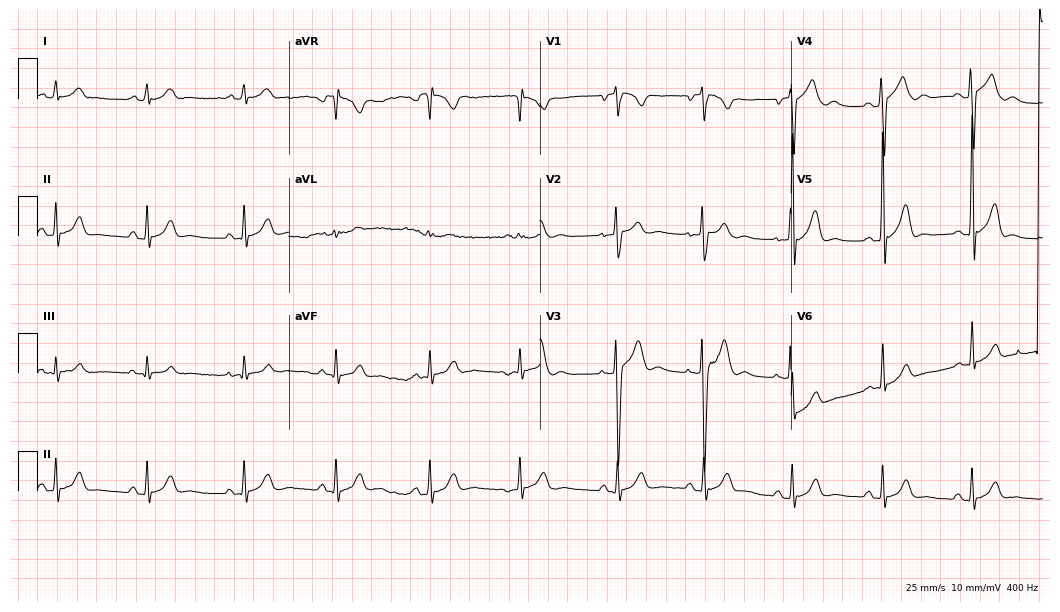
Resting 12-lead electrocardiogram (10.2-second recording at 400 Hz). Patient: a 26-year-old man. None of these six findings is recorded: first-degree AV block, right bundle branch block (RBBB), left bundle branch block (LBBB), sinus bradycardia, atrial fibrillation (AF), sinus tachycardia. Findings outside these six are not listed.